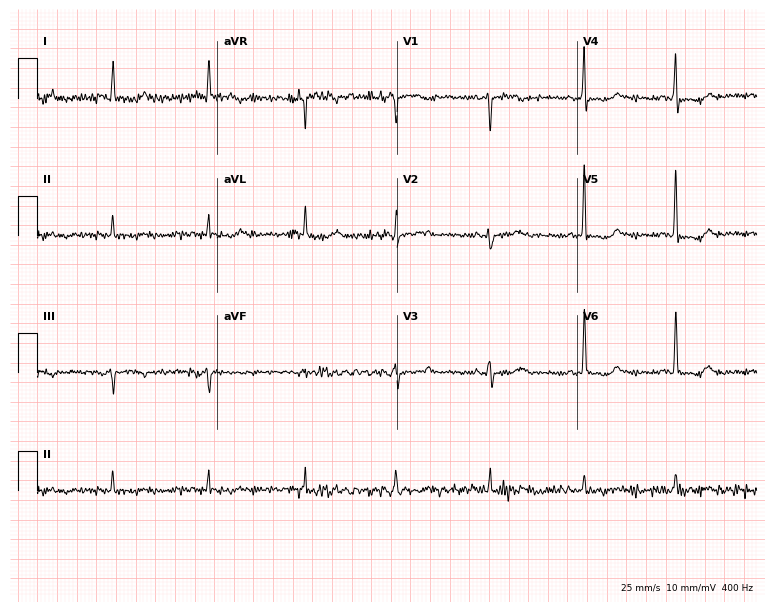
12-lead ECG (7.3-second recording at 400 Hz) from a 76-year-old female. Screened for six findings — first-degree AV block, right bundle branch block, left bundle branch block, sinus bradycardia, atrial fibrillation, sinus tachycardia — none is recorded. Other findings, if any, are not listed.